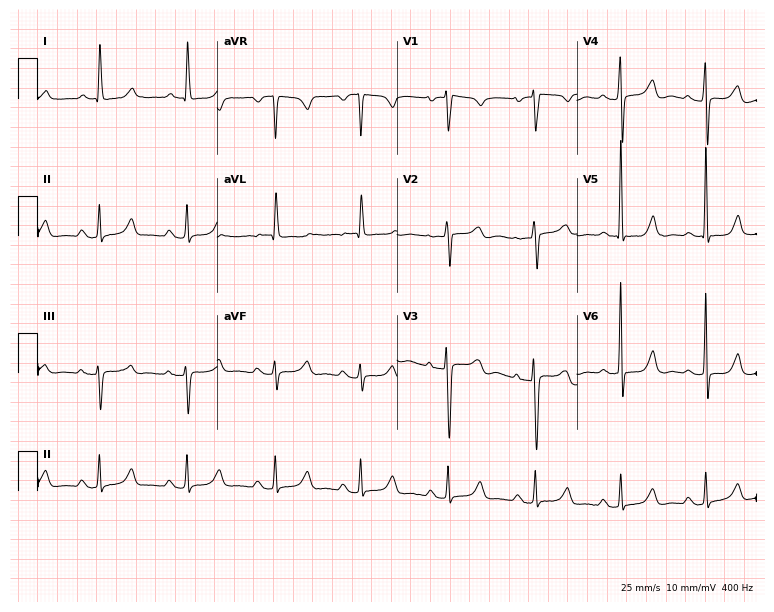
ECG — a female patient, 64 years old. Screened for six findings — first-degree AV block, right bundle branch block, left bundle branch block, sinus bradycardia, atrial fibrillation, sinus tachycardia — none is recorded.